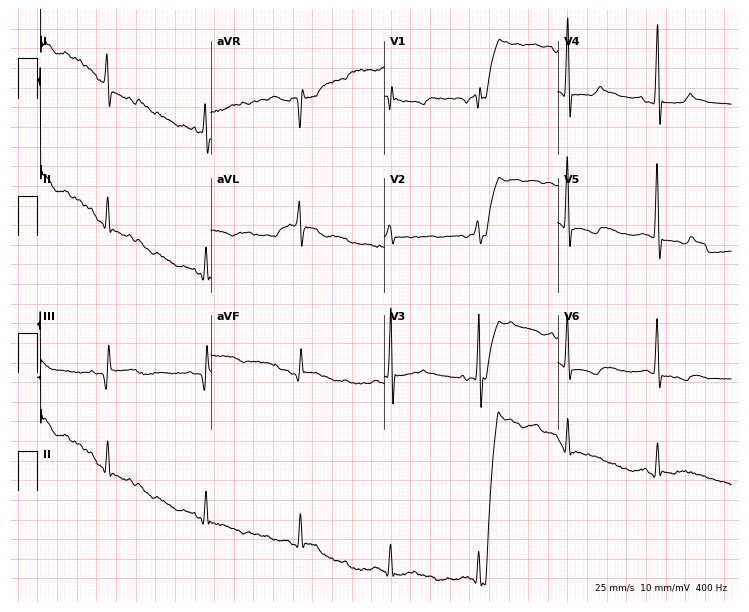
Electrocardiogram, a 69-year-old male patient. Of the six screened findings (first-degree AV block, right bundle branch block (RBBB), left bundle branch block (LBBB), sinus bradycardia, atrial fibrillation (AF), sinus tachycardia), none is recorded. Findings outside these six are not listed.